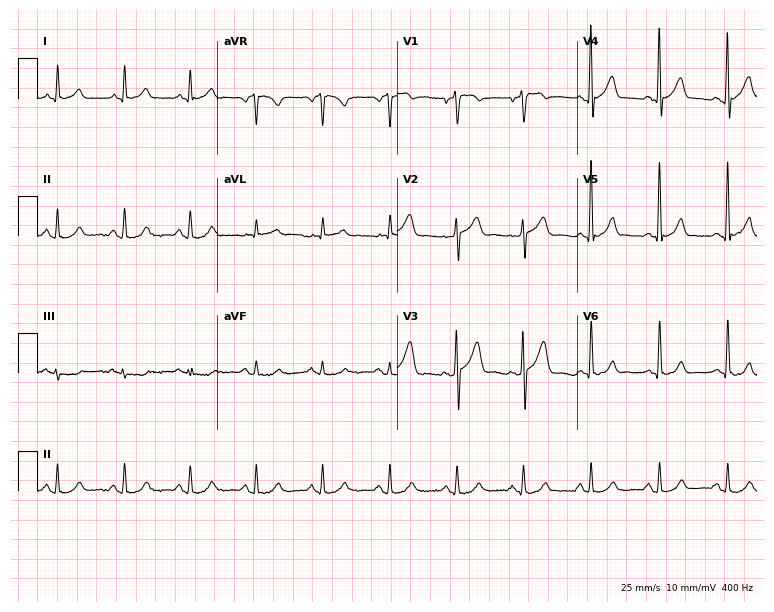
Resting 12-lead electrocardiogram. Patient: a 53-year-old male. None of these six findings is recorded: first-degree AV block, right bundle branch block (RBBB), left bundle branch block (LBBB), sinus bradycardia, atrial fibrillation (AF), sinus tachycardia. Findings outside these six are not listed.